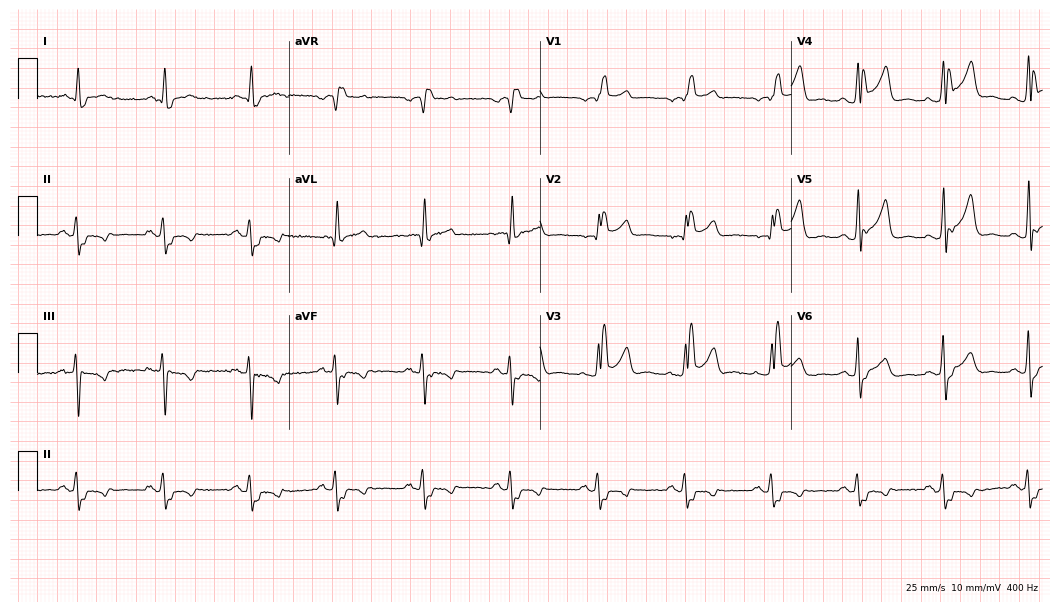
Resting 12-lead electrocardiogram. Patient: a 43-year-old male. The tracing shows right bundle branch block.